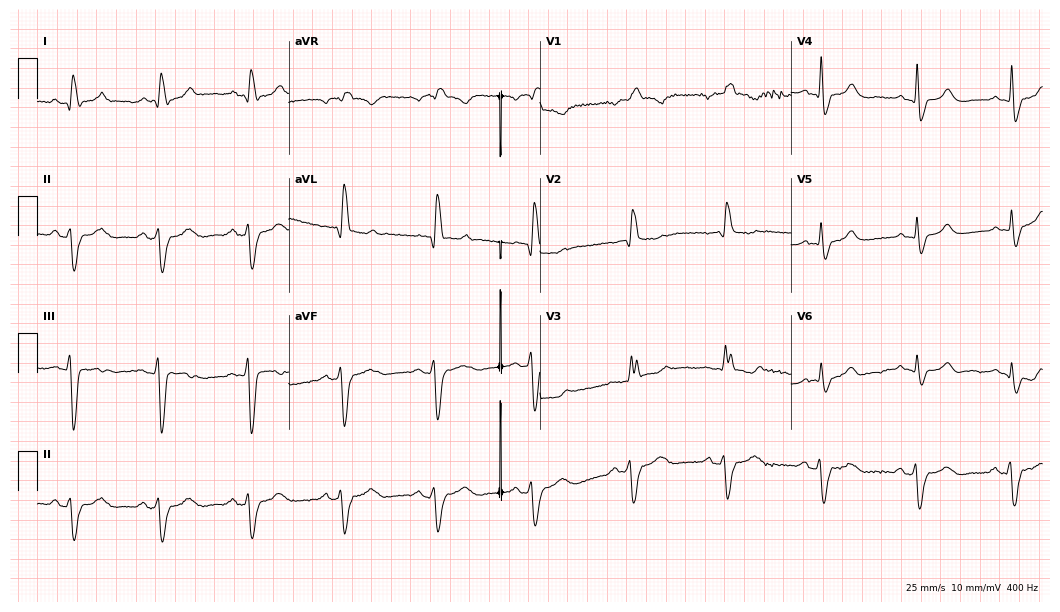
Resting 12-lead electrocardiogram. Patient: an 85-year-old woman. The tracing shows right bundle branch block.